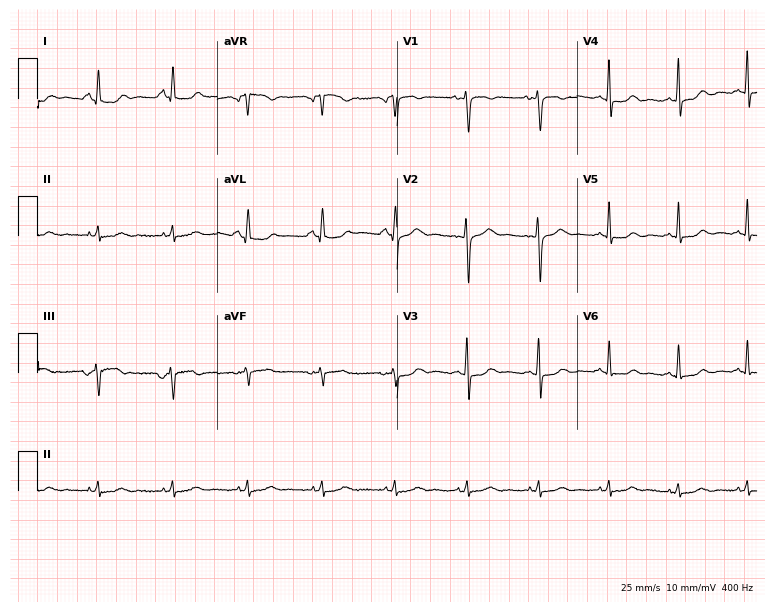
ECG — a female patient, 41 years old. Labelled as a normal ECG.